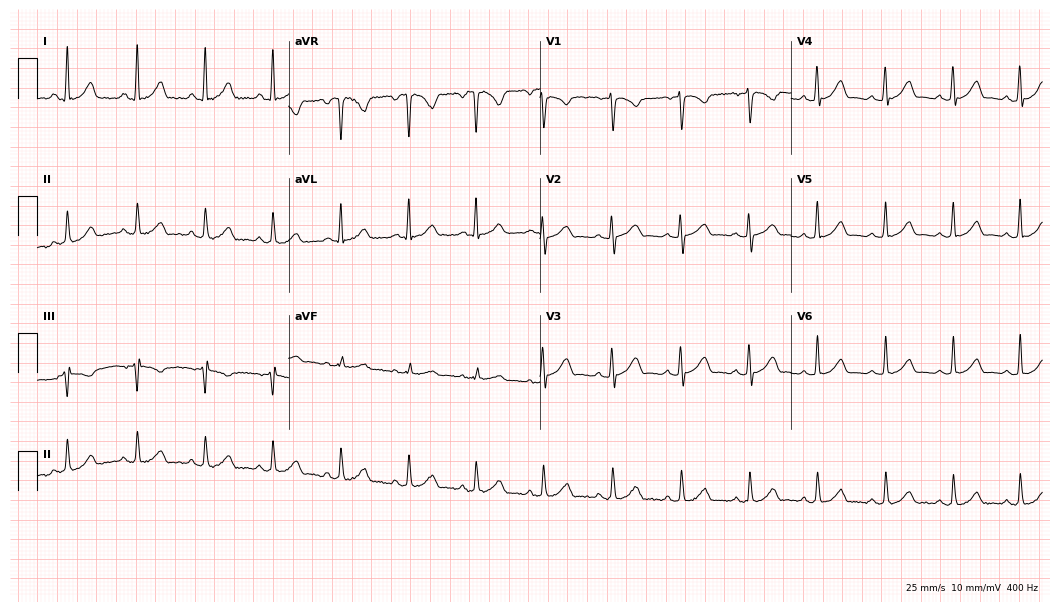
Electrocardiogram (10.2-second recording at 400 Hz), a woman, 31 years old. Of the six screened findings (first-degree AV block, right bundle branch block, left bundle branch block, sinus bradycardia, atrial fibrillation, sinus tachycardia), none is recorded. Only these six findings were labelled.